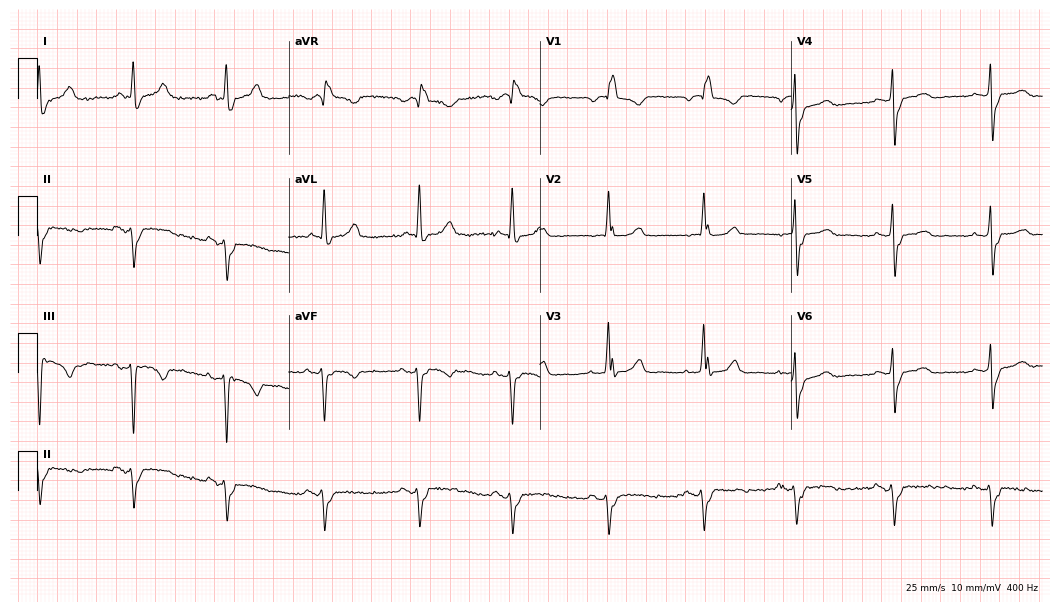
Electrocardiogram (10.2-second recording at 400 Hz), a 74-year-old female patient. Interpretation includes right bundle branch block.